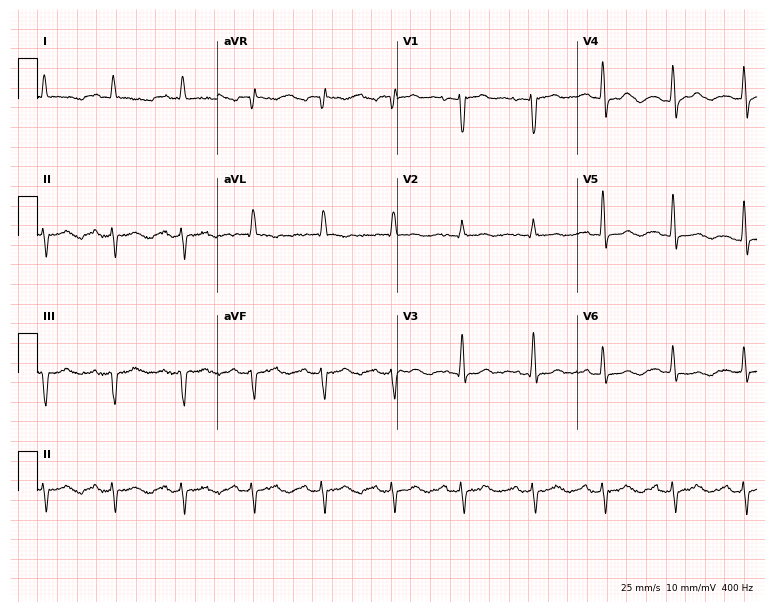
Electrocardiogram, a man, 74 years old. Of the six screened findings (first-degree AV block, right bundle branch block (RBBB), left bundle branch block (LBBB), sinus bradycardia, atrial fibrillation (AF), sinus tachycardia), none is recorded. Findings outside these six are not listed.